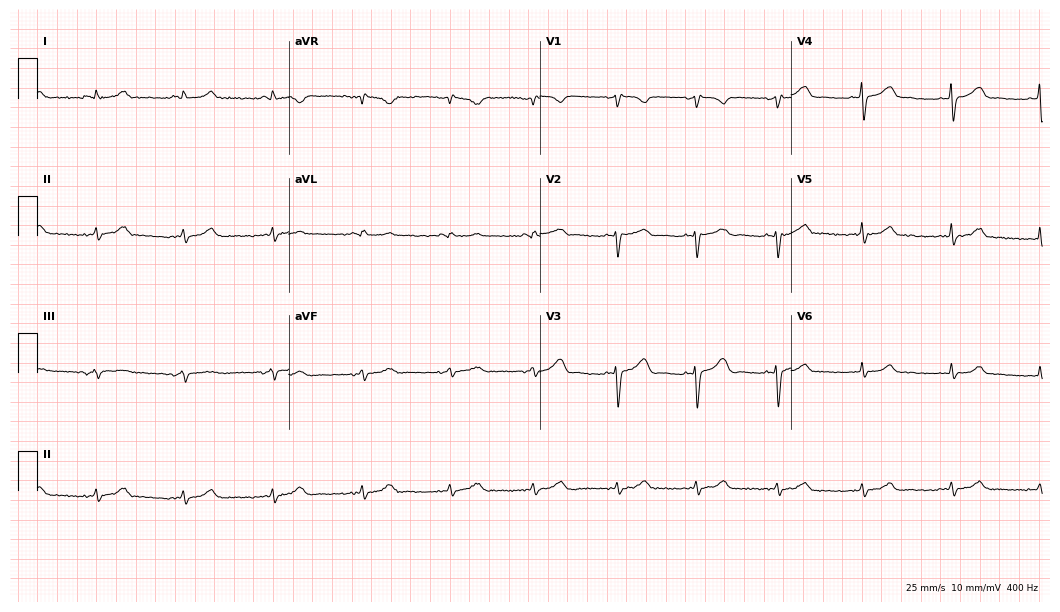
Resting 12-lead electrocardiogram (10.2-second recording at 400 Hz). Patient: a female, 50 years old. None of these six findings is recorded: first-degree AV block, right bundle branch block, left bundle branch block, sinus bradycardia, atrial fibrillation, sinus tachycardia. Findings outside these six are not listed.